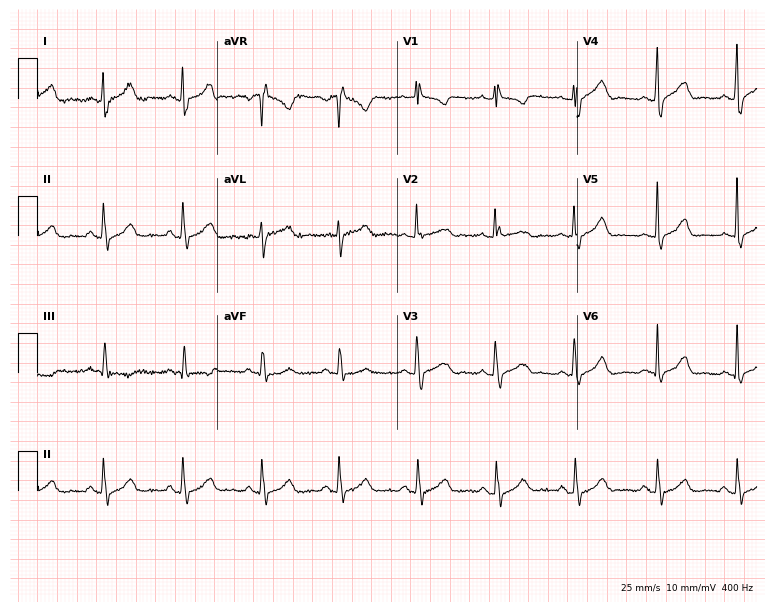
Standard 12-lead ECG recorded from a female, 38 years old (7.3-second recording at 400 Hz). None of these six findings is recorded: first-degree AV block, right bundle branch block, left bundle branch block, sinus bradycardia, atrial fibrillation, sinus tachycardia.